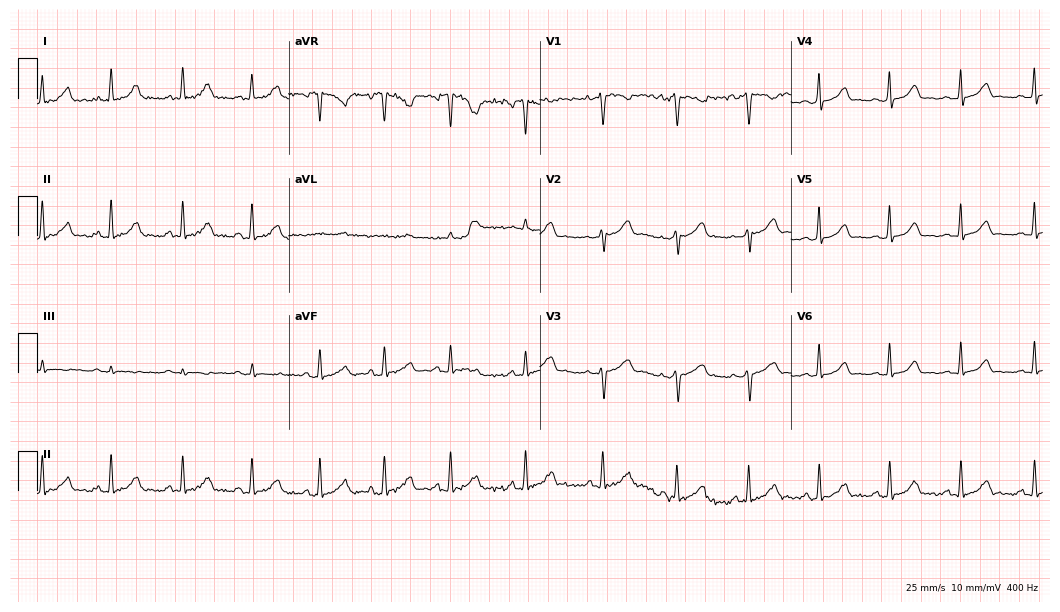
Standard 12-lead ECG recorded from a woman, 32 years old. Read as a normal ECG.